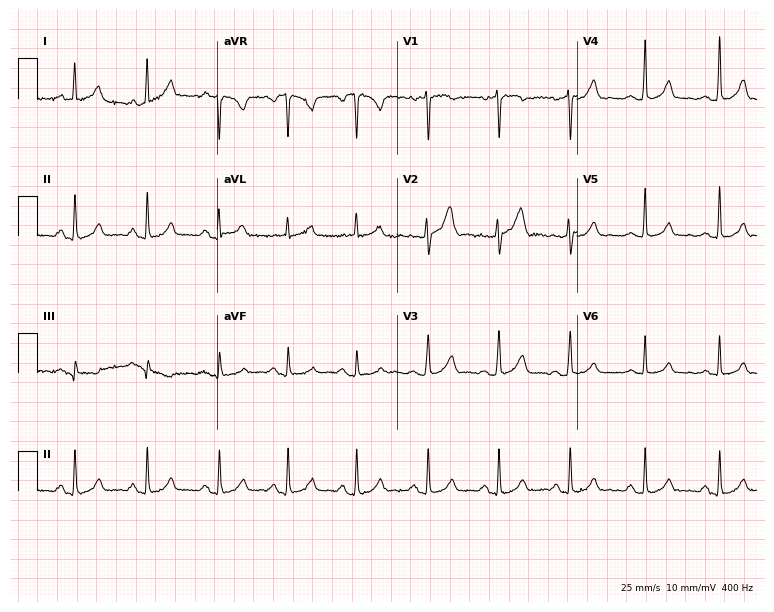
12-lead ECG from a female patient, 40 years old (7.3-second recording at 400 Hz). Recorded interpretation: within normal limits.